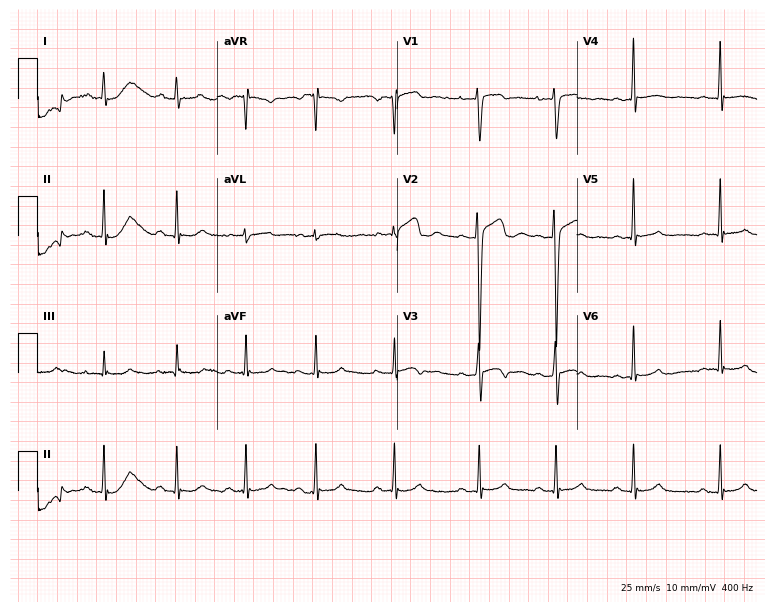
Standard 12-lead ECG recorded from a male patient, 17 years old. None of these six findings is recorded: first-degree AV block, right bundle branch block (RBBB), left bundle branch block (LBBB), sinus bradycardia, atrial fibrillation (AF), sinus tachycardia.